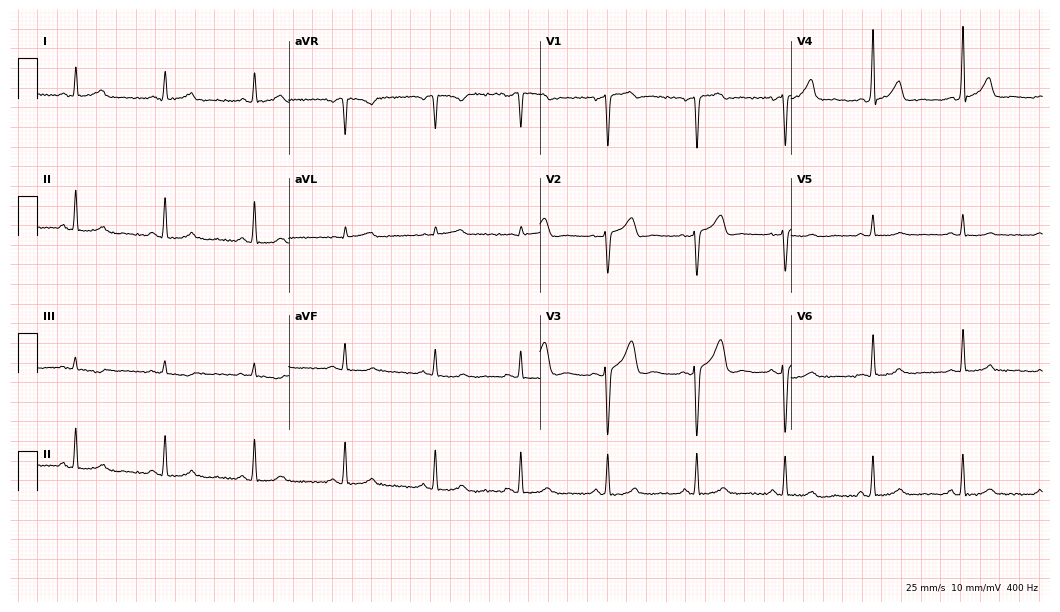
Resting 12-lead electrocardiogram. Patient: a man, 43 years old. None of these six findings is recorded: first-degree AV block, right bundle branch block, left bundle branch block, sinus bradycardia, atrial fibrillation, sinus tachycardia. Only these six findings were labelled.